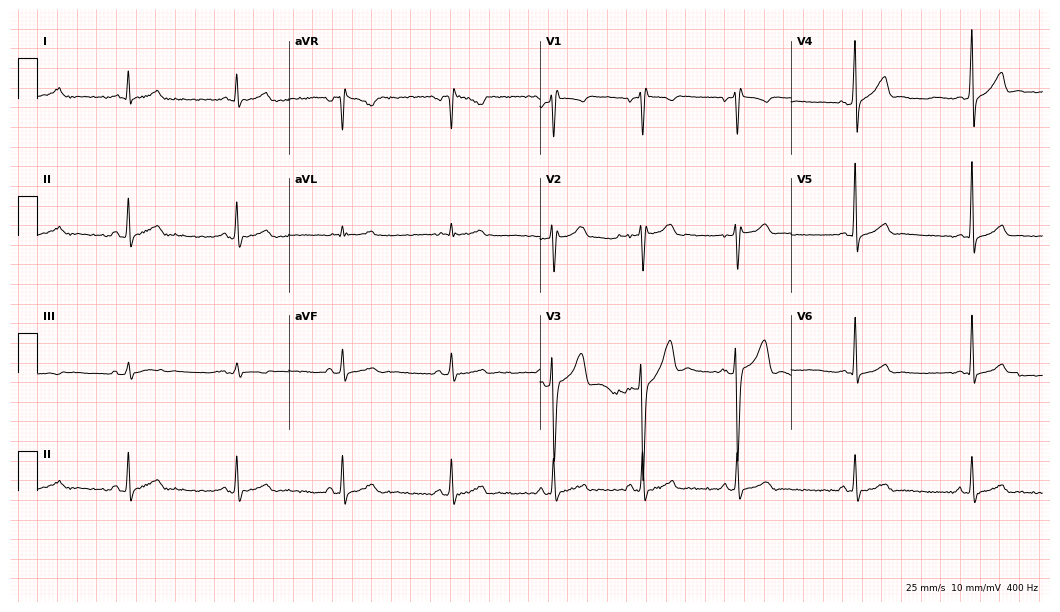
12-lead ECG (10.2-second recording at 400 Hz) from a male patient, 35 years old. Screened for six findings — first-degree AV block, right bundle branch block, left bundle branch block, sinus bradycardia, atrial fibrillation, sinus tachycardia — none is recorded. Other findings, if any, are not listed.